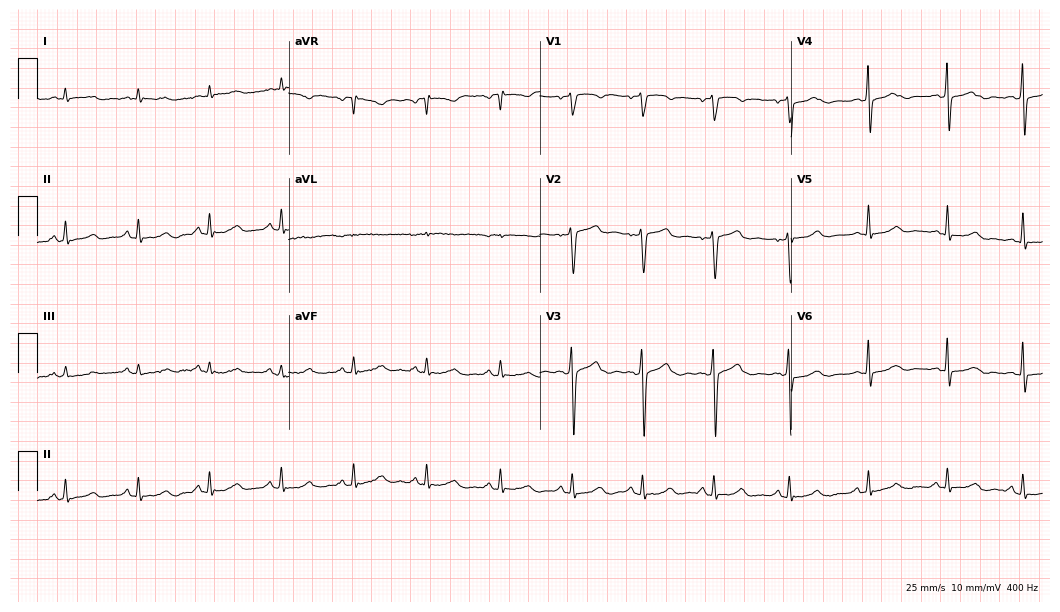
12-lead ECG from a man, 43 years old. Recorded interpretation: within normal limits.